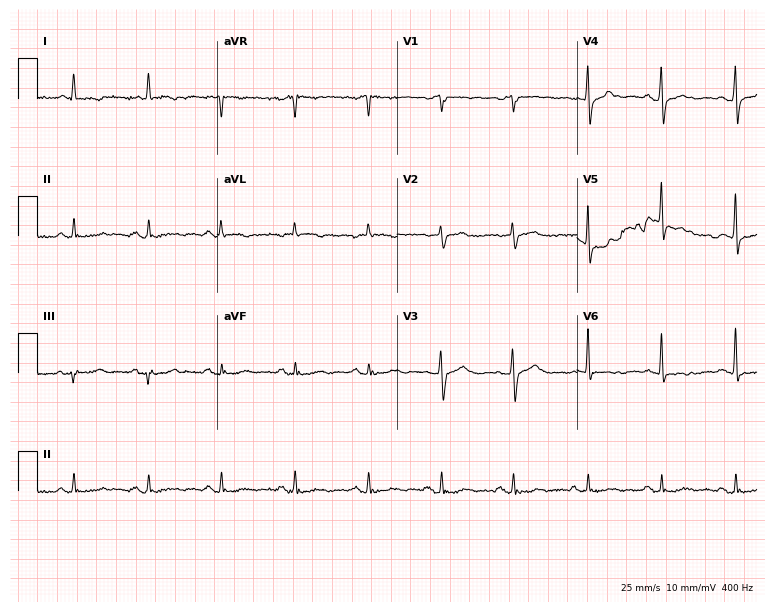
Standard 12-lead ECG recorded from a man aged 90 or older. None of these six findings is recorded: first-degree AV block, right bundle branch block, left bundle branch block, sinus bradycardia, atrial fibrillation, sinus tachycardia.